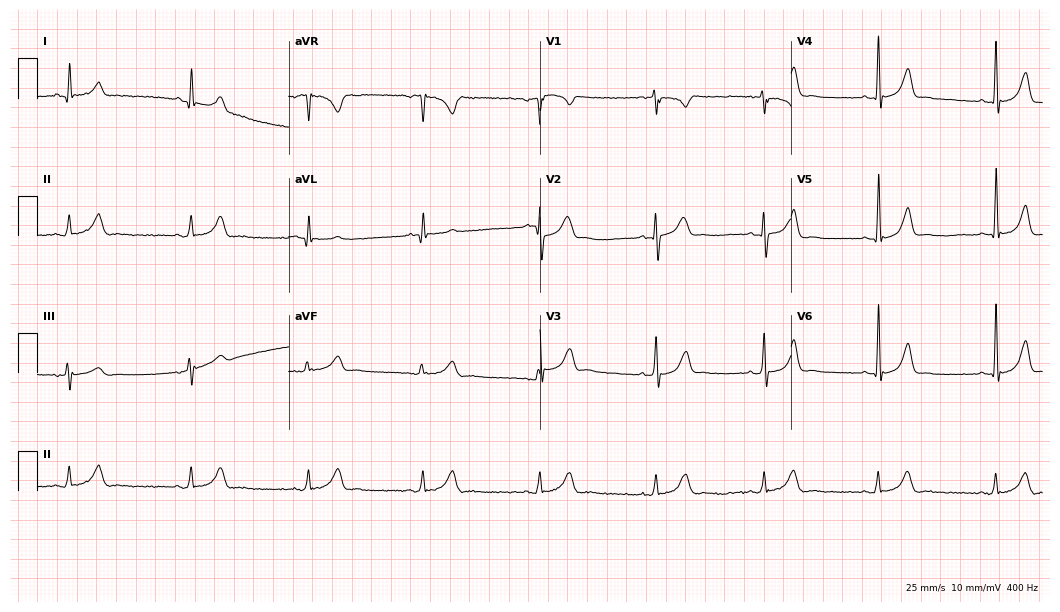
Standard 12-lead ECG recorded from a male patient, 58 years old (10.2-second recording at 400 Hz). Read as a normal ECG.